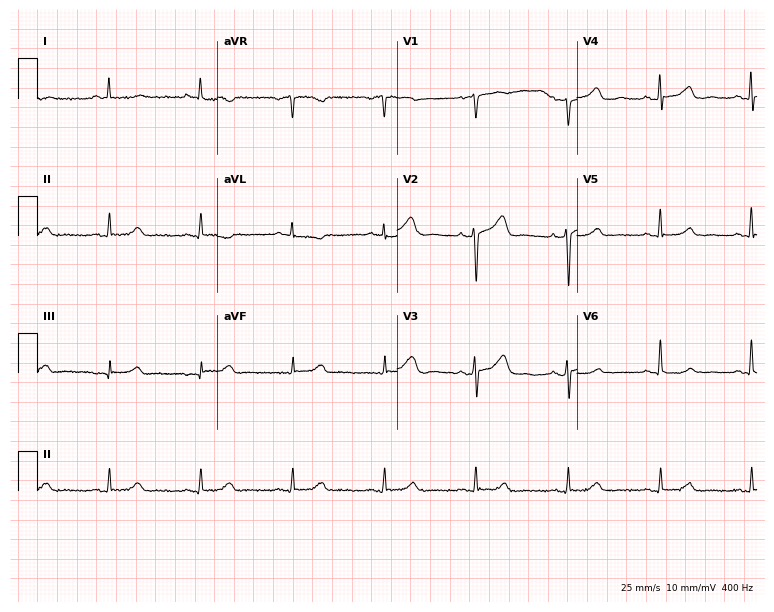
12-lead ECG from a 66-year-old female. No first-degree AV block, right bundle branch block, left bundle branch block, sinus bradycardia, atrial fibrillation or sinus tachycardia recorded for this tracing.